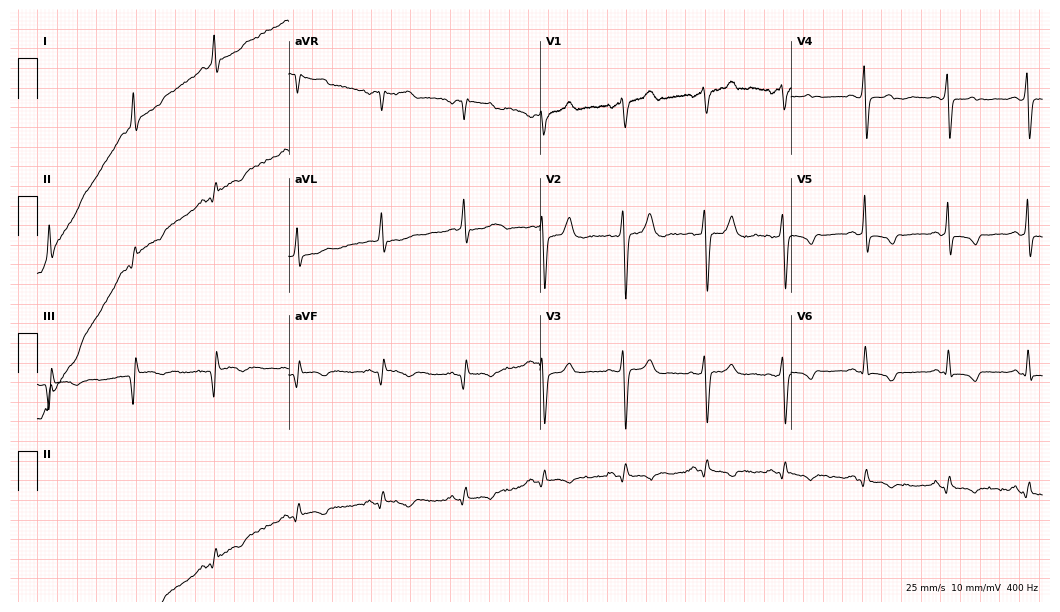
Standard 12-lead ECG recorded from a 52-year-old male (10.2-second recording at 400 Hz). None of these six findings is recorded: first-degree AV block, right bundle branch block, left bundle branch block, sinus bradycardia, atrial fibrillation, sinus tachycardia.